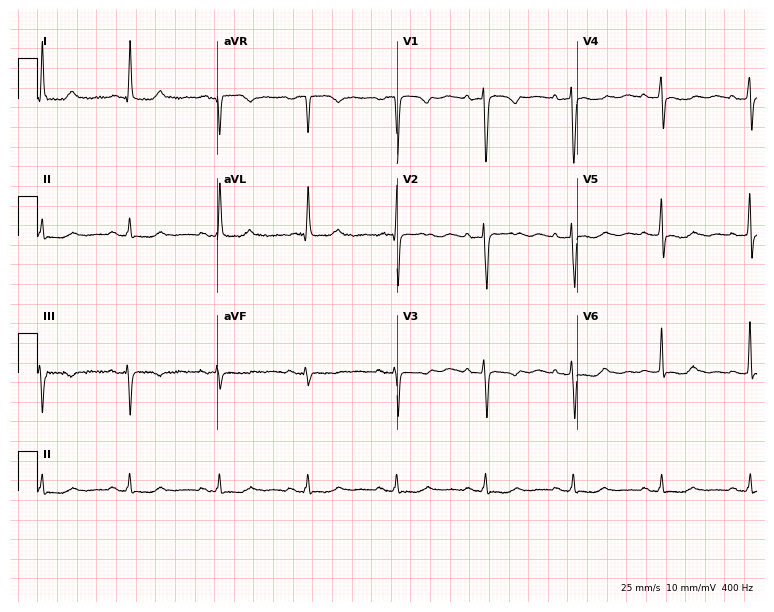
ECG — a female patient, 76 years old. Screened for six findings — first-degree AV block, right bundle branch block (RBBB), left bundle branch block (LBBB), sinus bradycardia, atrial fibrillation (AF), sinus tachycardia — none is recorded. Only these six findings were labelled.